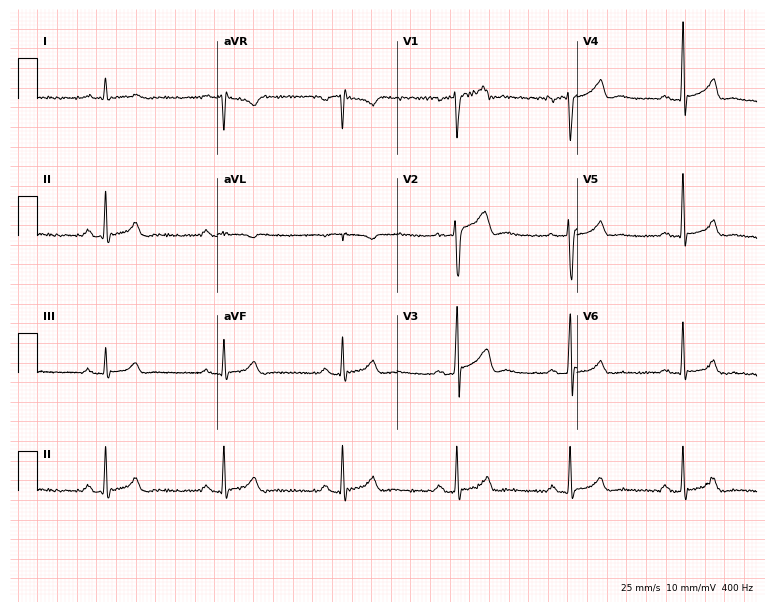
Standard 12-lead ECG recorded from a 58-year-old man (7.3-second recording at 400 Hz). None of these six findings is recorded: first-degree AV block, right bundle branch block (RBBB), left bundle branch block (LBBB), sinus bradycardia, atrial fibrillation (AF), sinus tachycardia.